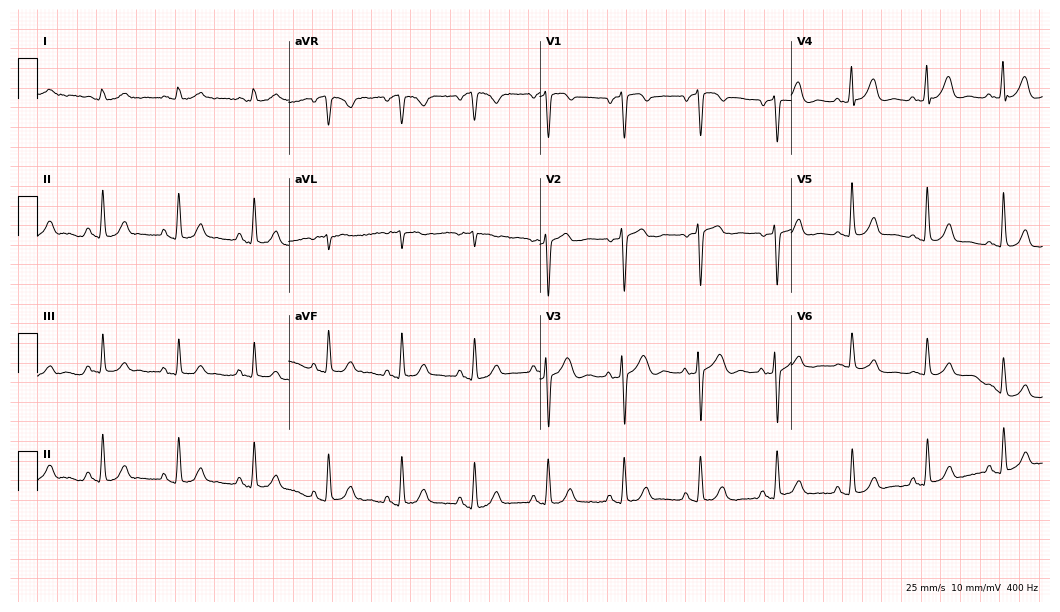
Electrocardiogram (10.2-second recording at 400 Hz), a man, 84 years old. Overall reading on record: normal ECG.